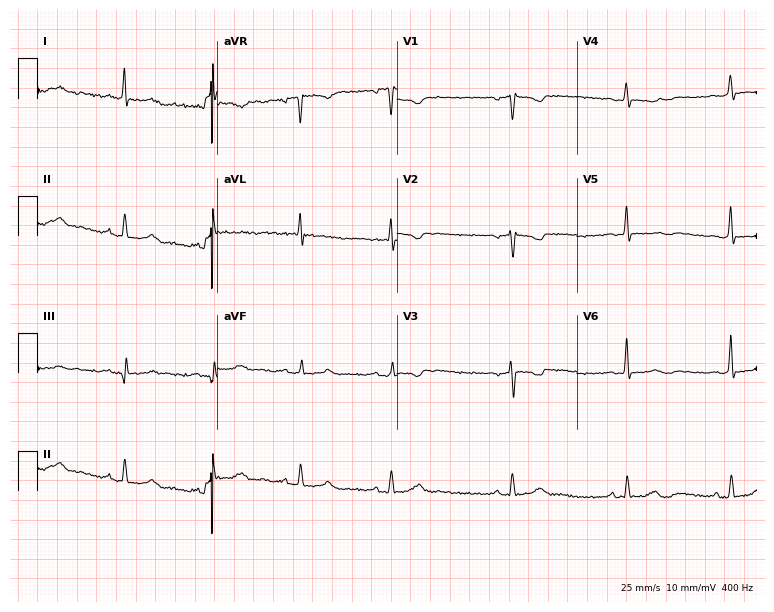
12-lead ECG from a 49-year-old female. Screened for six findings — first-degree AV block, right bundle branch block, left bundle branch block, sinus bradycardia, atrial fibrillation, sinus tachycardia — none is recorded.